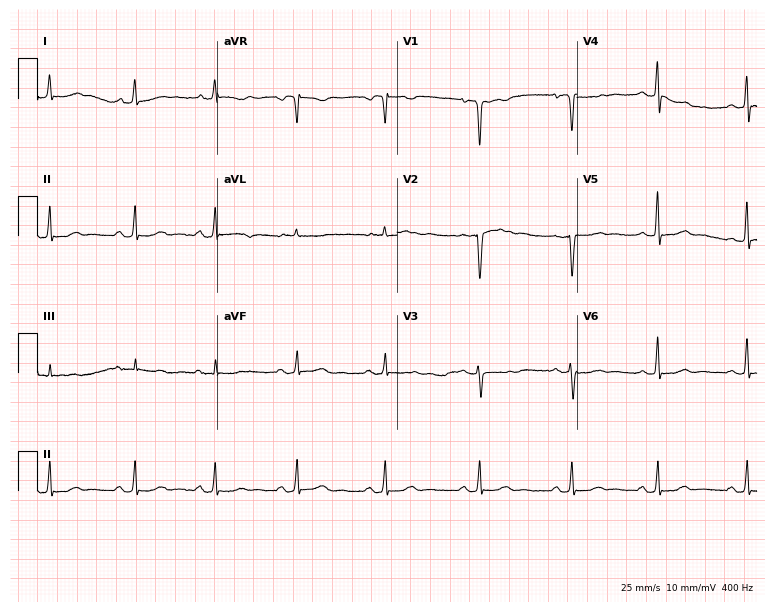
Standard 12-lead ECG recorded from a woman, 43 years old (7.3-second recording at 400 Hz). Read as a normal ECG.